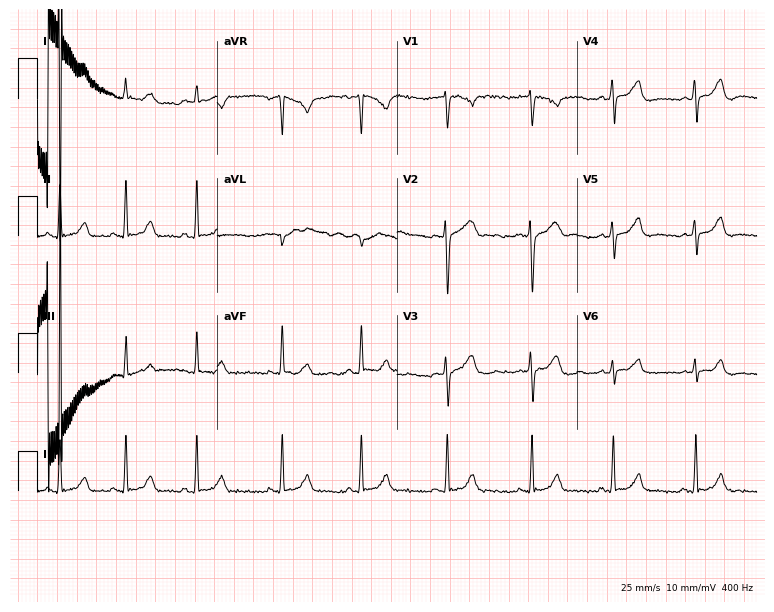
12-lead ECG (7.3-second recording at 400 Hz) from a female patient, 23 years old. Labelled as a normal ECG.